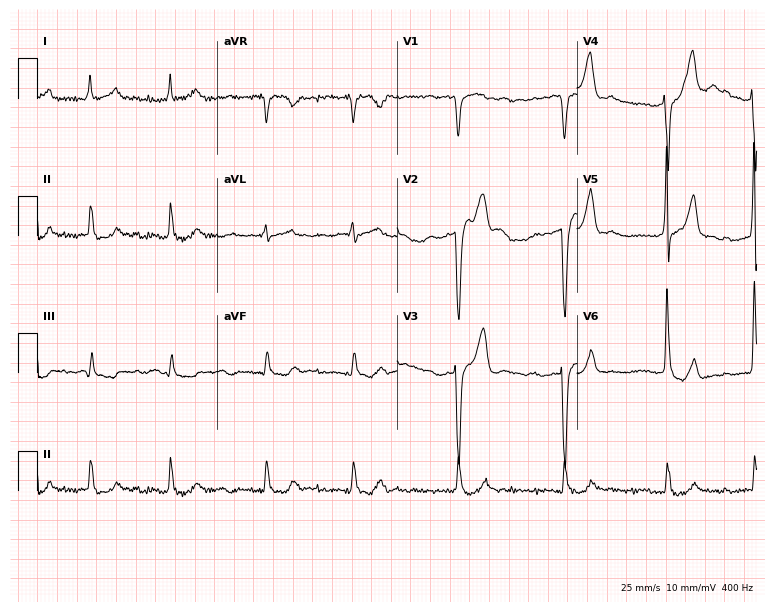
12-lead ECG from a 71-year-old male patient. Findings include atrial fibrillation.